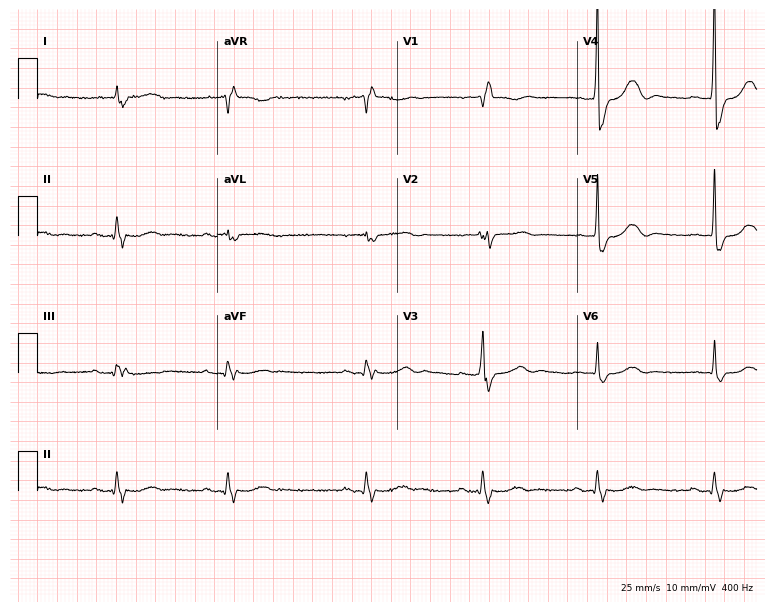
Standard 12-lead ECG recorded from an 83-year-old man. The tracing shows right bundle branch block (RBBB).